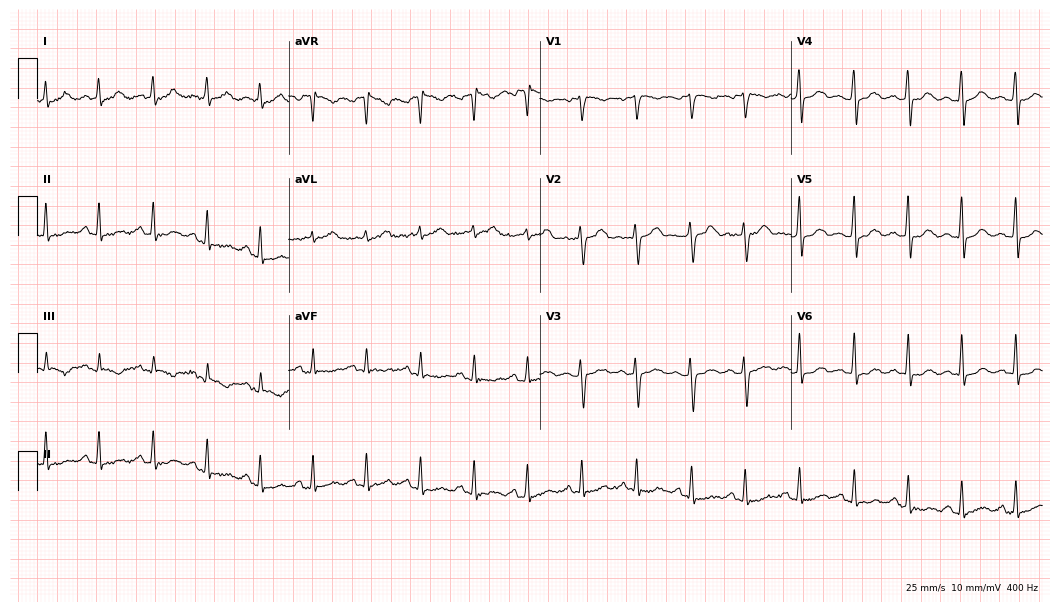
Electrocardiogram (10.2-second recording at 400 Hz), a 28-year-old female. Of the six screened findings (first-degree AV block, right bundle branch block (RBBB), left bundle branch block (LBBB), sinus bradycardia, atrial fibrillation (AF), sinus tachycardia), none is recorded. Only these six findings were labelled.